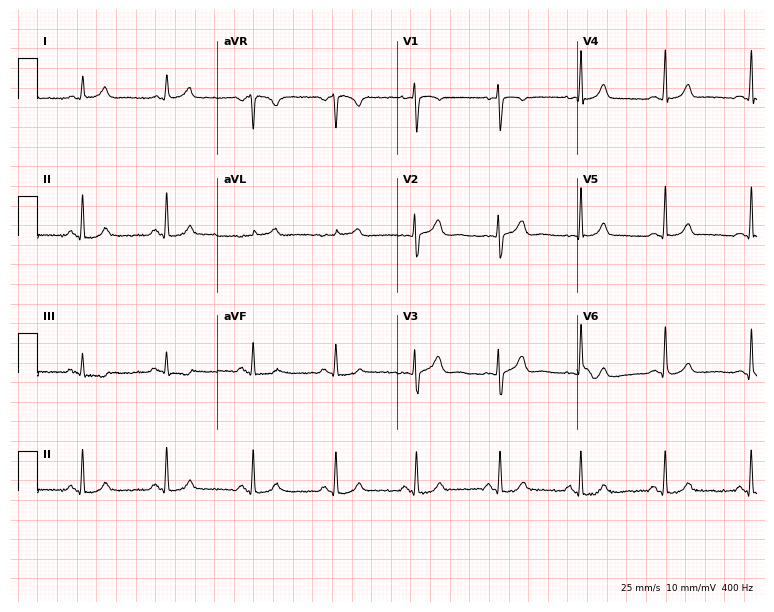
ECG — a 29-year-old female patient. Labelled as a normal ECG.